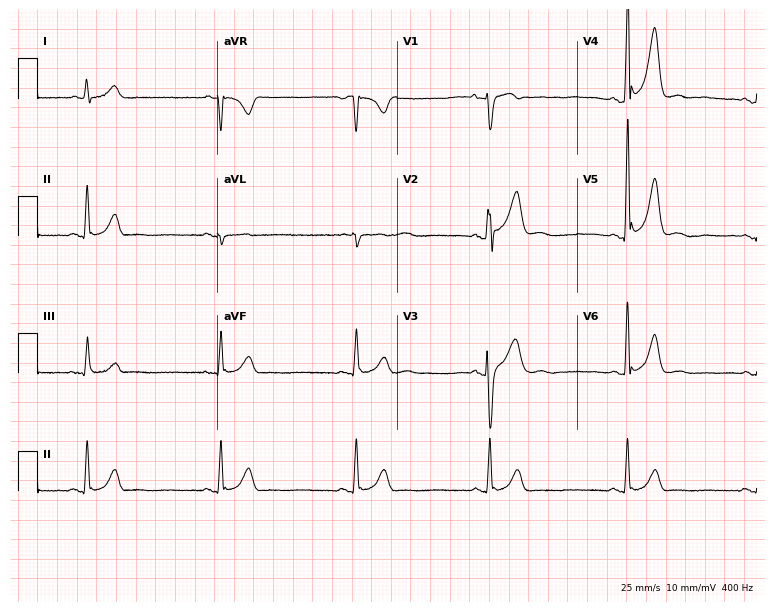
Resting 12-lead electrocardiogram. Patient: a 36-year-old male. The tracing shows sinus bradycardia (a sinus rate of 50 beats per minute or less).